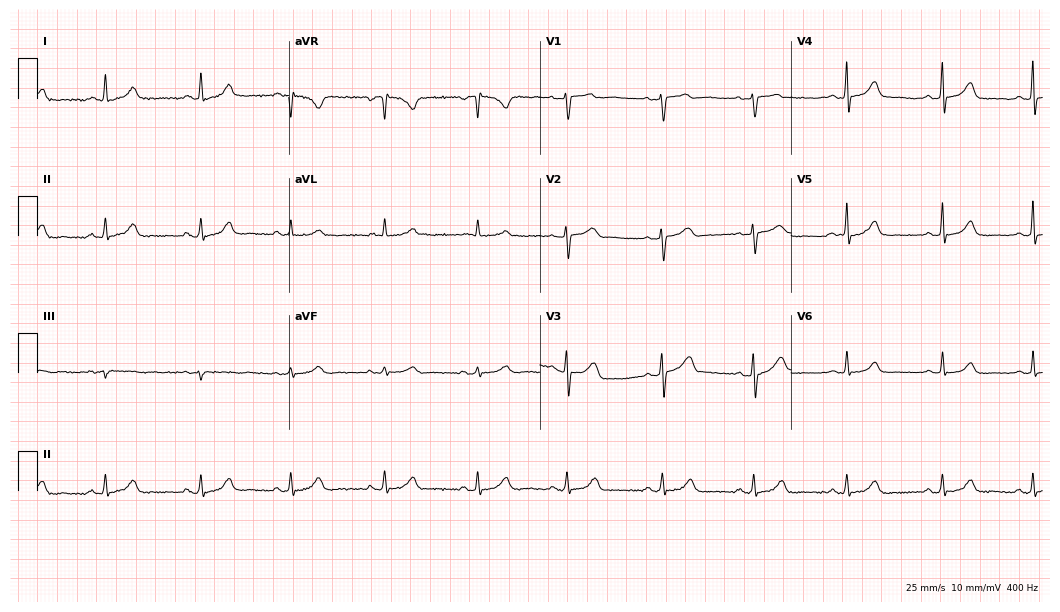
Electrocardiogram, a female, 48 years old. Overall reading on record: normal ECG.